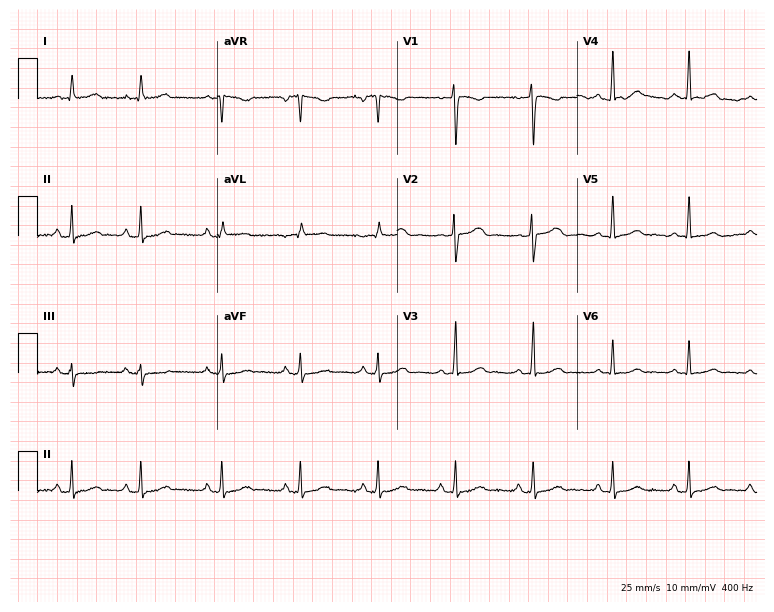
Resting 12-lead electrocardiogram. Patient: a 37-year-old female. Read as a normal ECG.